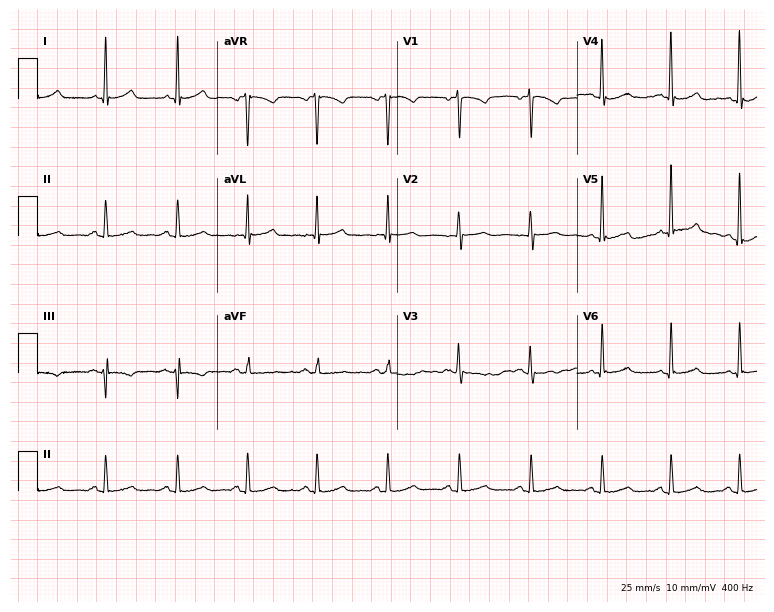
Resting 12-lead electrocardiogram. Patient: a female, 47 years old. Read as a normal ECG.